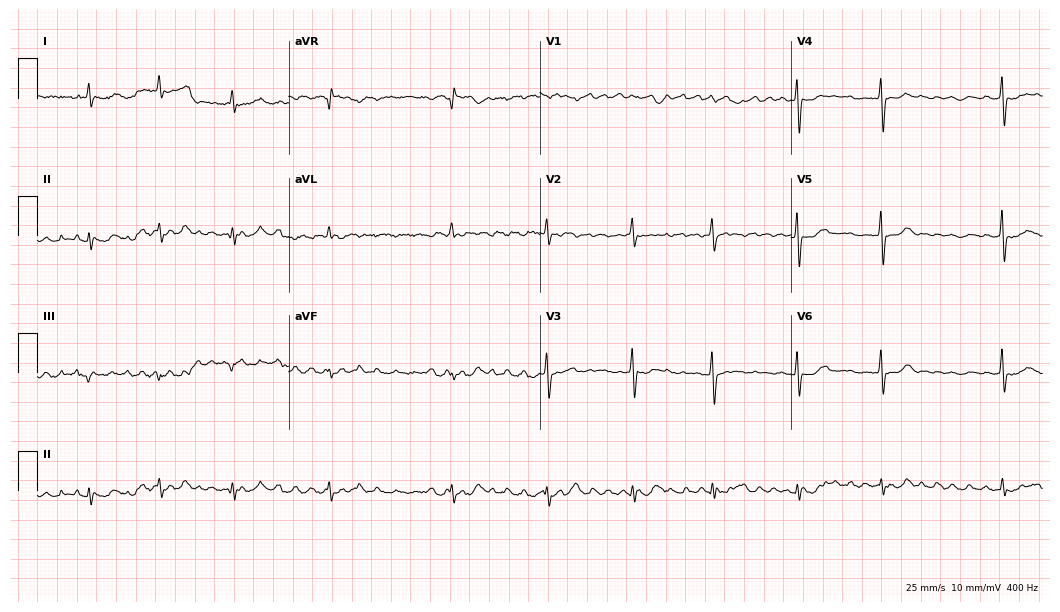
Electrocardiogram, an 82-year-old woman. Interpretation includes atrial fibrillation.